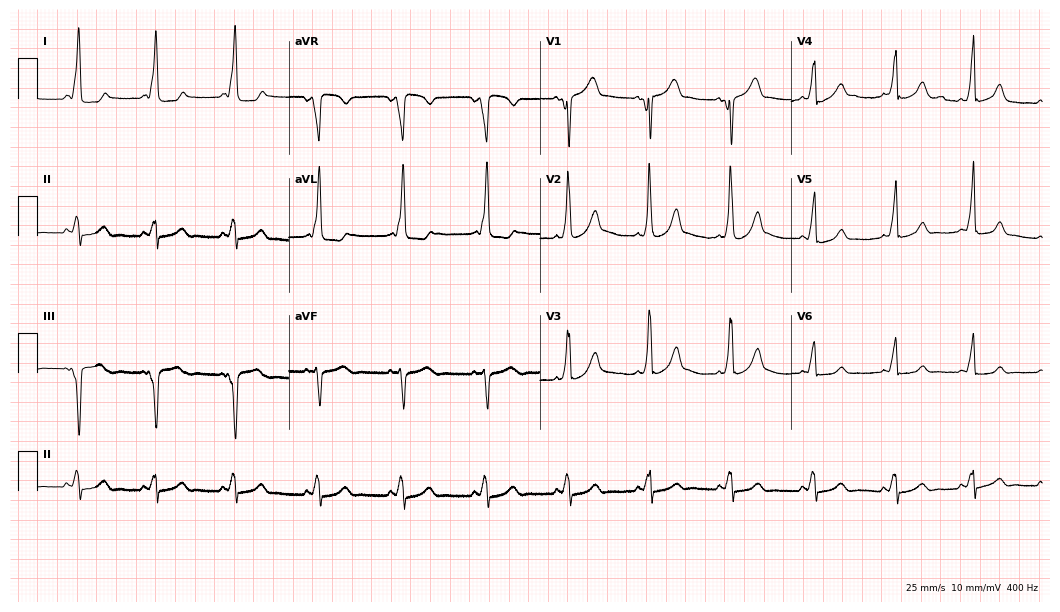
Electrocardiogram (10.2-second recording at 400 Hz), a female, 22 years old. Of the six screened findings (first-degree AV block, right bundle branch block (RBBB), left bundle branch block (LBBB), sinus bradycardia, atrial fibrillation (AF), sinus tachycardia), none is recorded. Other findings, if any, are not listed.